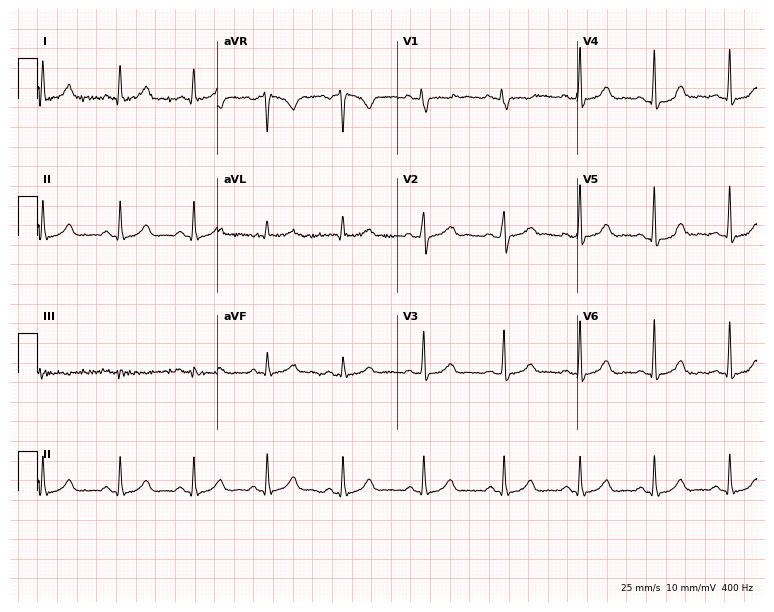
Electrocardiogram (7.3-second recording at 400 Hz), a female patient, 33 years old. Overall reading on record: normal ECG.